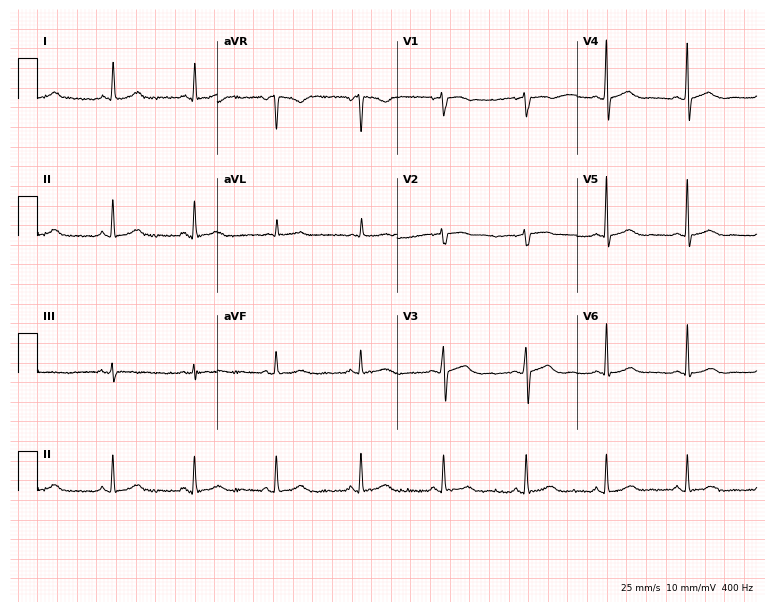
Standard 12-lead ECG recorded from a 60-year-old woman (7.3-second recording at 400 Hz). None of these six findings is recorded: first-degree AV block, right bundle branch block, left bundle branch block, sinus bradycardia, atrial fibrillation, sinus tachycardia.